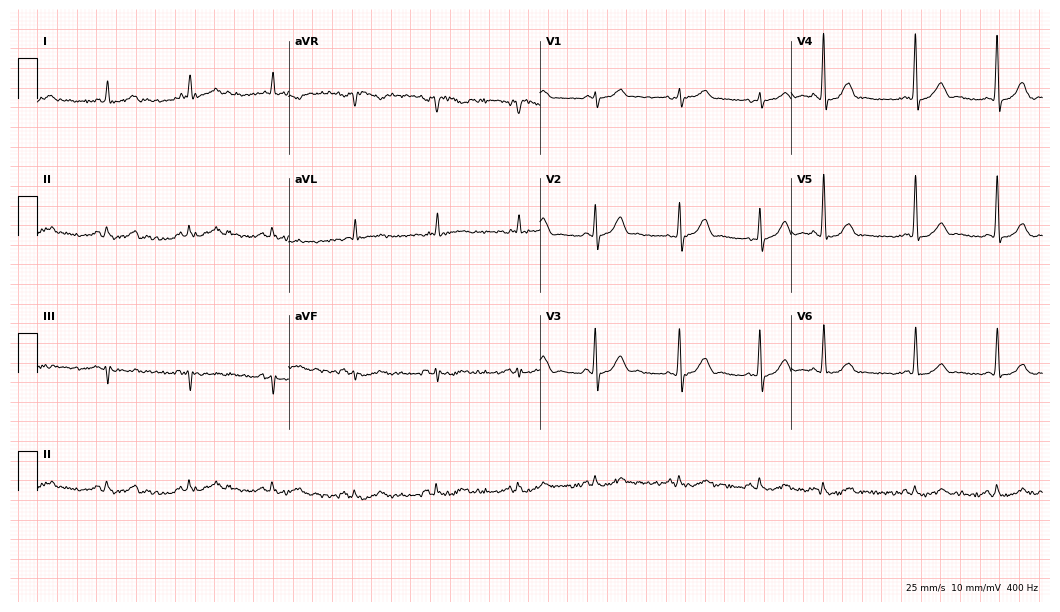
Standard 12-lead ECG recorded from a male, 86 years old (10.2-second recording at 400 Hz). None of these six findings is recorded: first-degree AV block, right bundle branch block, left bundle branch block, sinus bradycardia, atrial fibrillation, sinus tachycardia. Only these six findings were labelled.